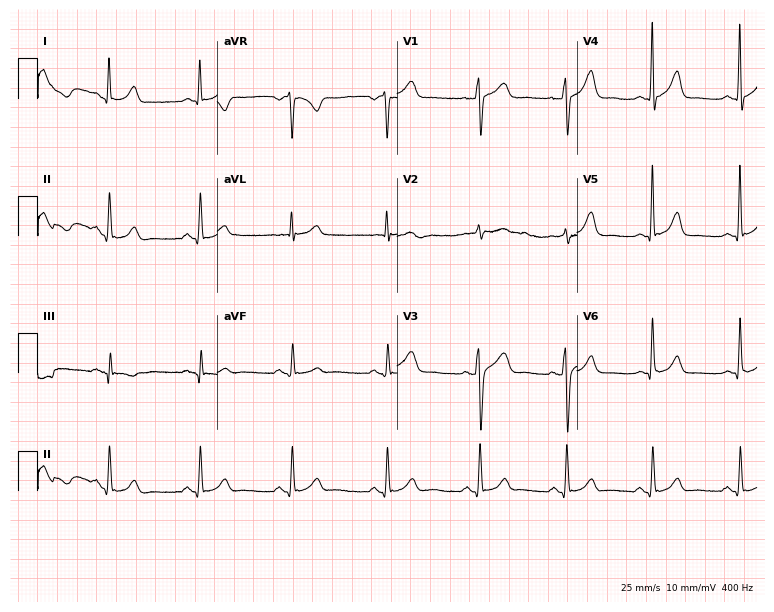
Resting 12-lead electrocardiogram. Patient: a man, 47 years old. Read as a normal ECG.